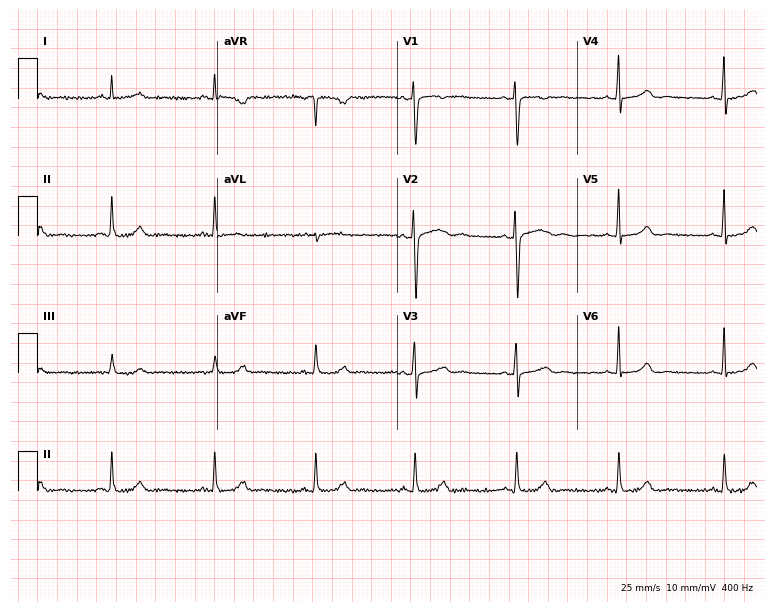
12-lead ECG (7.3-second recording at 400 Hz) from a female, 31 years old. Labelled as a normal ECG.